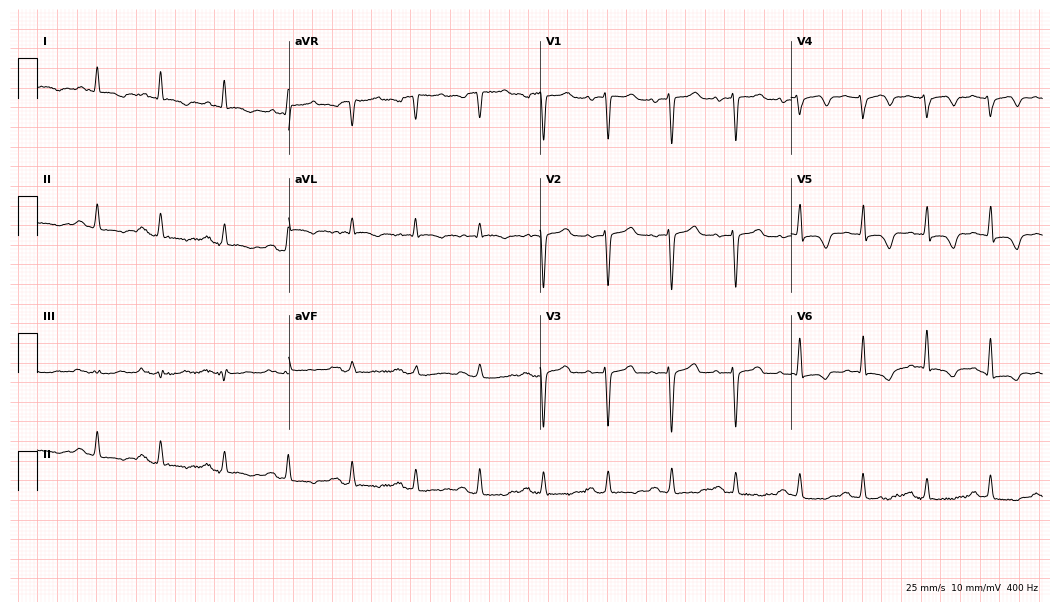
Standard 12-lead ECG recorded from a woman, 85 years old (10.2-second recording at 400 Hz). None of these six findings is recorded: first-degree AV block, right bundle branch block, left bundle branch block, sinus bradycardia, atrial fibrillation, sinus tachycardia. Findings outside these six are not listed.